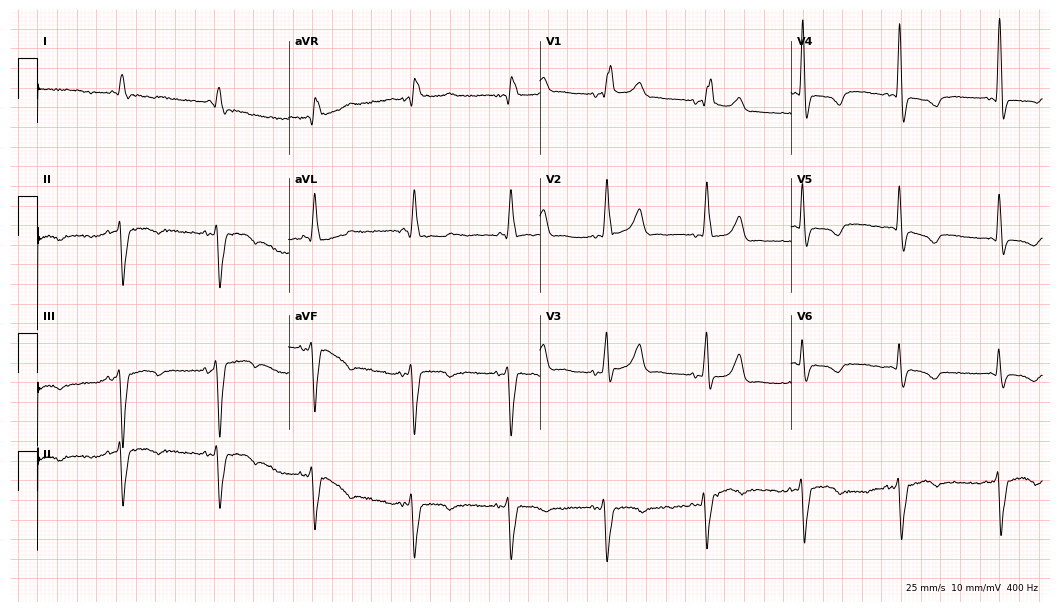
Standard 12-lead ECG recorded from a 71-year-old male. The tracing shows right bundle branch block (RBBB).